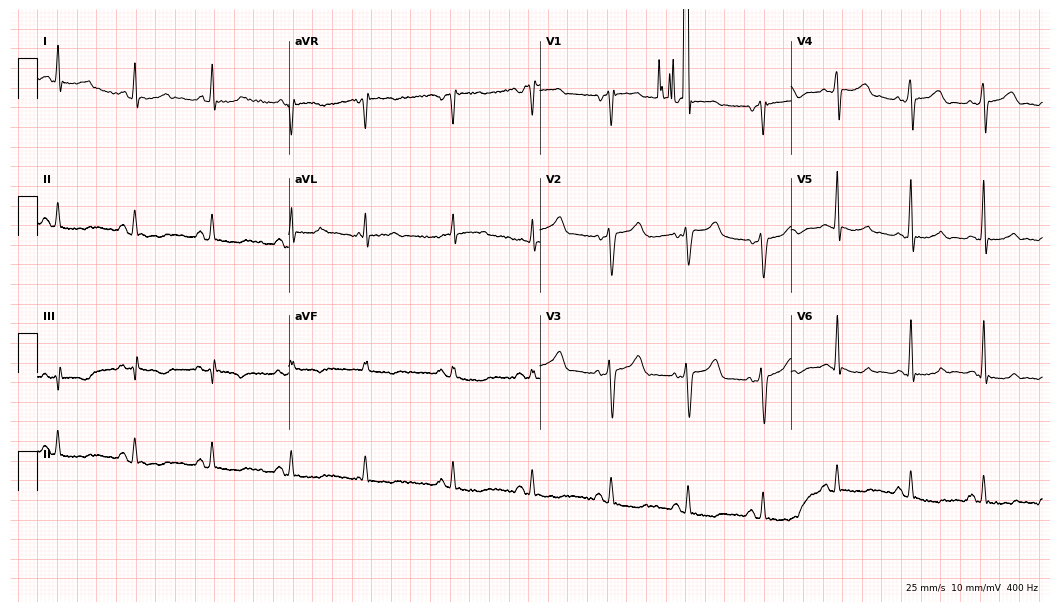
Resting 12-lead electrocardiogram (10.2-second recording at 400 Hz). Patient: a 49-year-old male. None of these six findings is recorded: first-degree AV block, right bundle branch block, left bundle branch block, sinus bradycardia, atrial fibrillation, sinus tachycardia.